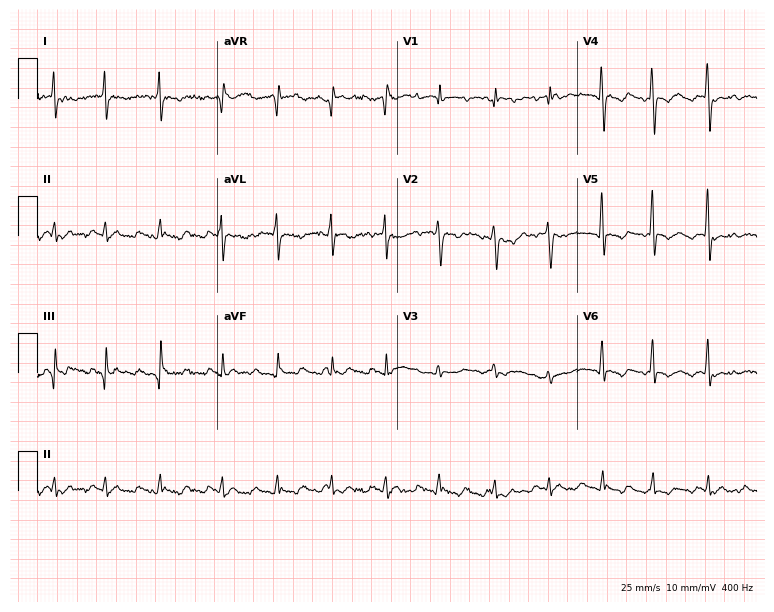
Standard 12-lead ECG recorded from a 78-year-old male patient (7.3-second recording at 400 Hz). None of these six findings is recorded: first-degree AV block, right bundle branch block, left bundle branch block, sinus bradycardia, atrial fibrillation, sinus tachycardia.